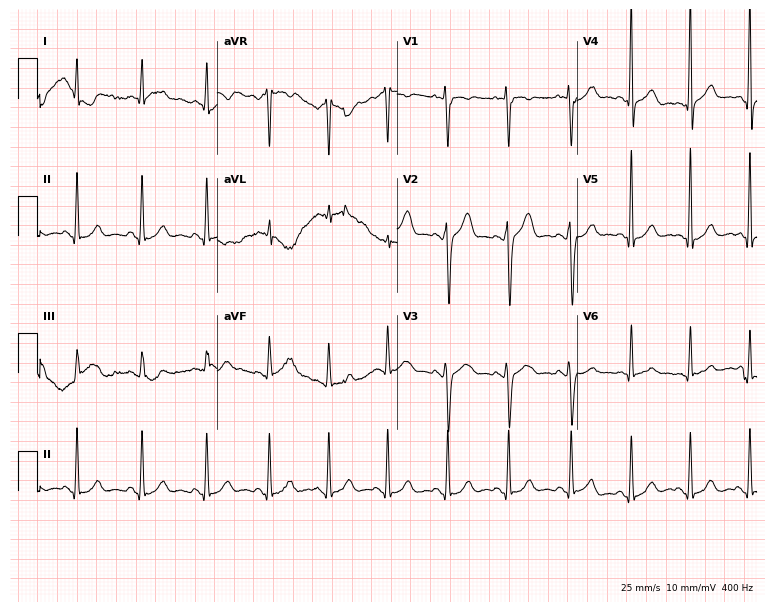
Standard 12-lead ECG recorded from a 23-year-old male patient. Read as a normal ECG.